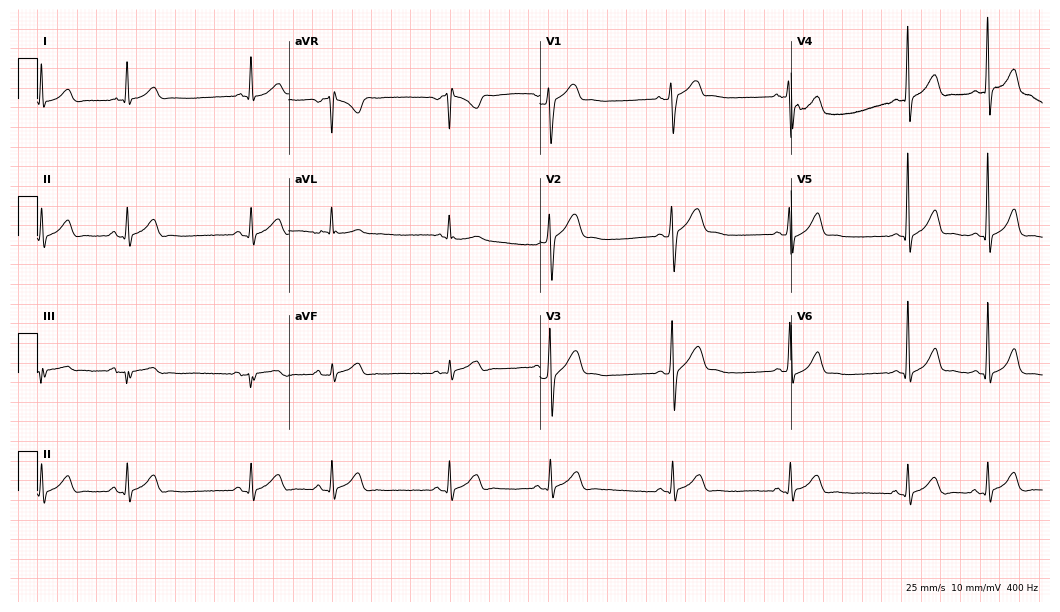
Standard 12-lead ECG recorded from a 26-year-old male patient (10.2-second recording at 400 Hz). None of these six findings is recorded: first-degree AV block, right bundle branch block, left bundle branch block, sinus bradycardia, atrial fibrillation, sinus tachycardia. Only these six findings were labelled.